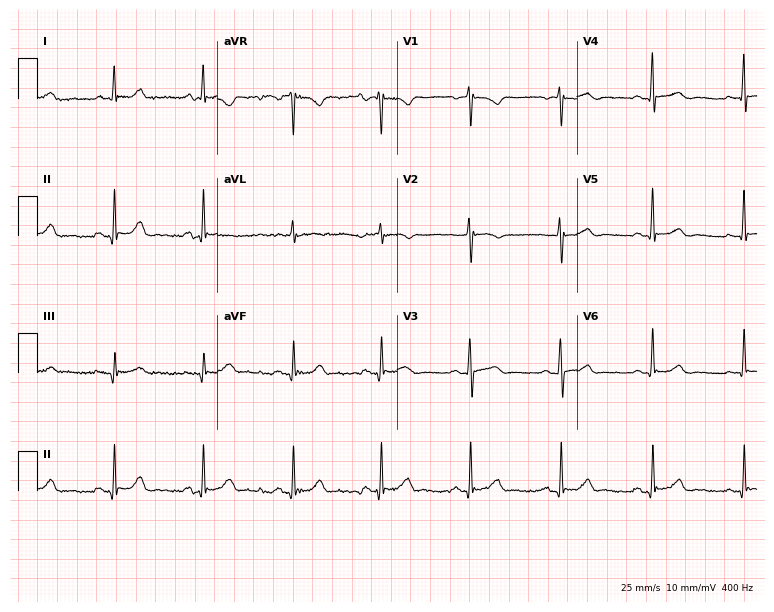
Resting 12-lead electrocardiogram. Patient: a 63-year-old female. Read as a normal ECG.